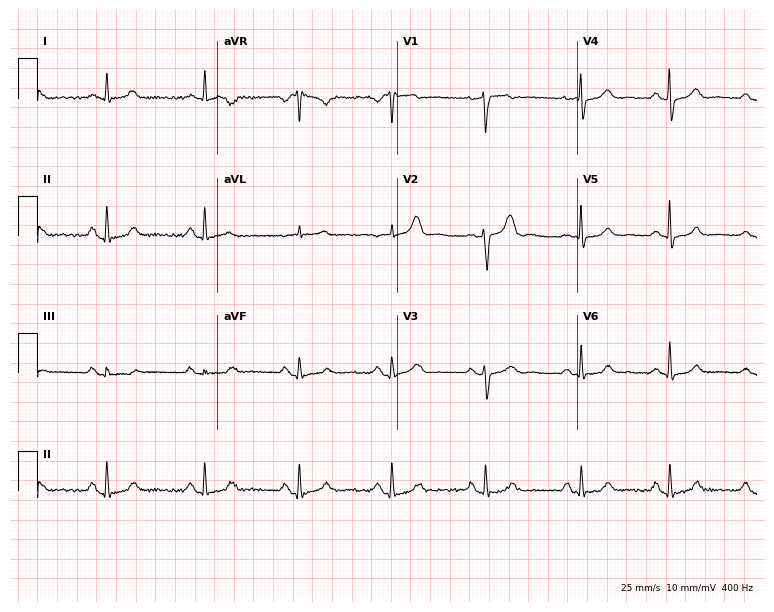
Resting 12-lead electrocardiogram. Patient: a female, 66 years old. Read as a normal ECG.